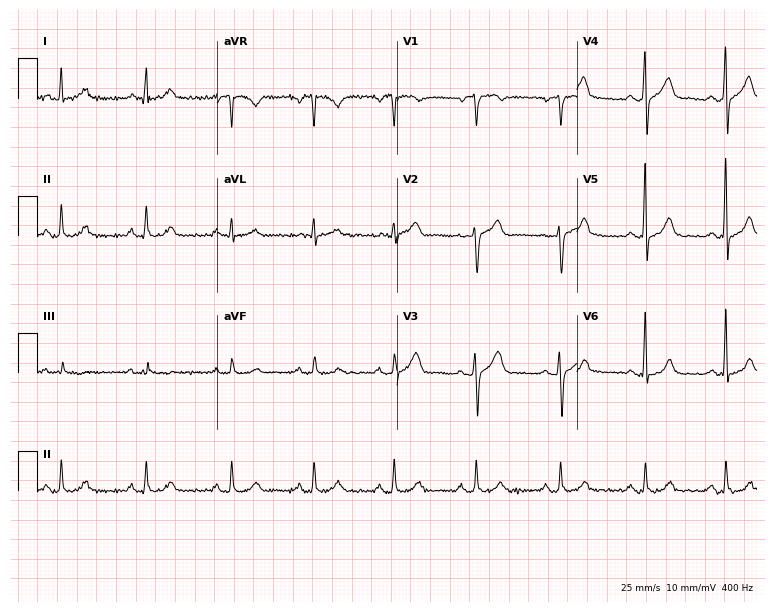
Standard 12-lead ECG recorded from a 46-year-old female patient (7.3-second recording at 400 Hz). Read as a normal ECG.